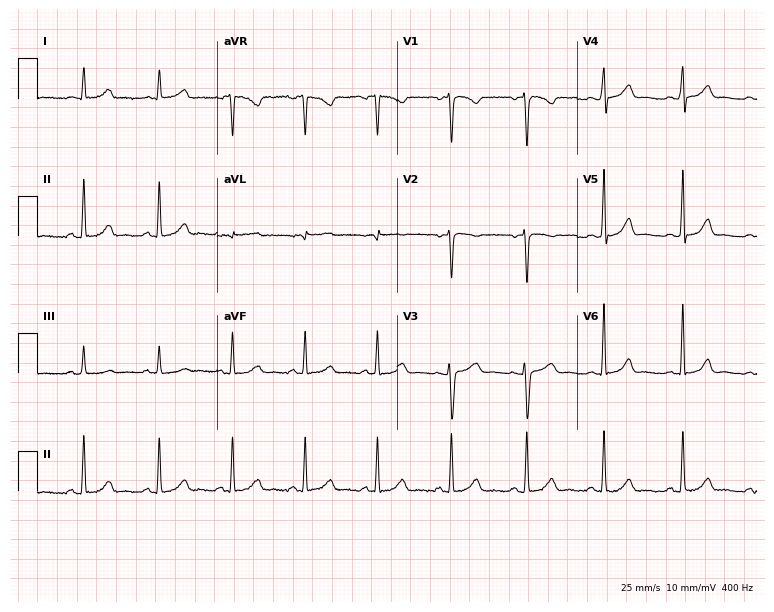
Electrocardiogram, a 41-year-old woman. Overall reading on record: normal ECG.